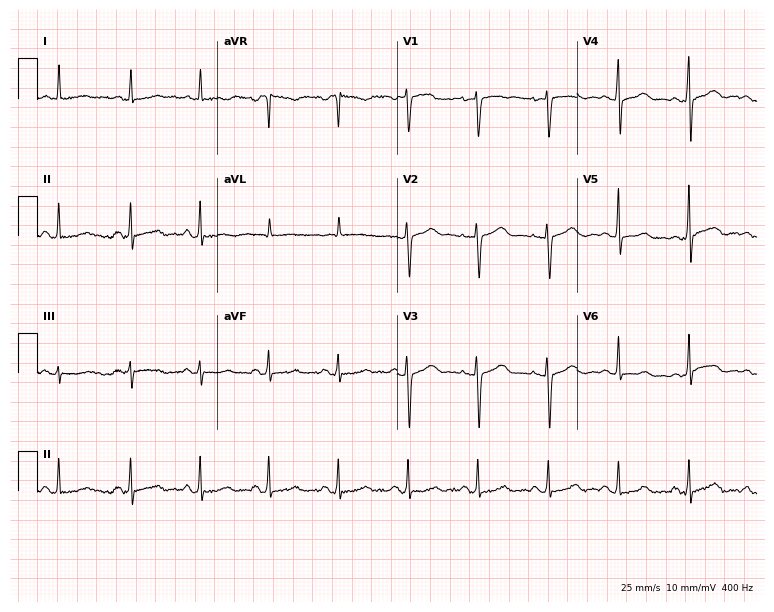
12-lead ECG (7.3-second recording at 400 Hz) from a 57-year-old woman. Labelled as a normal ECG.